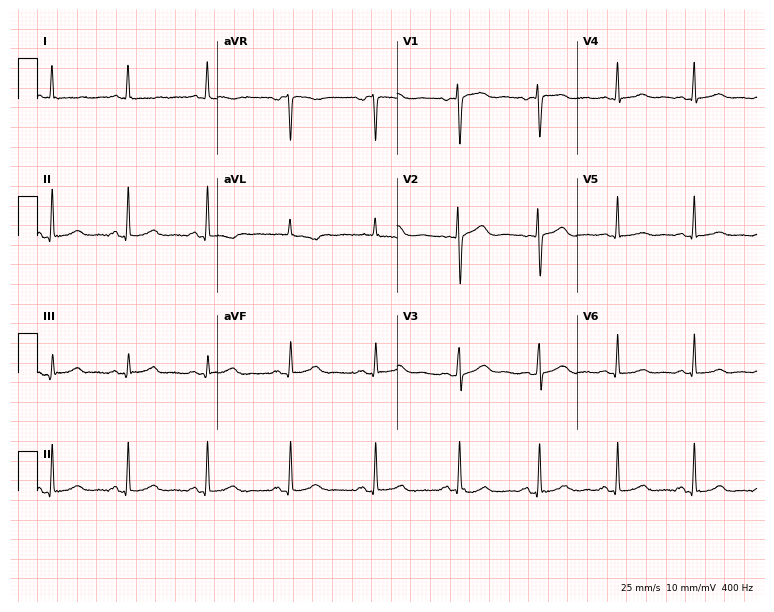
Resting 12-lead electrocardiogram. Patient: a female, 47 years old. Read as a normal ECG.